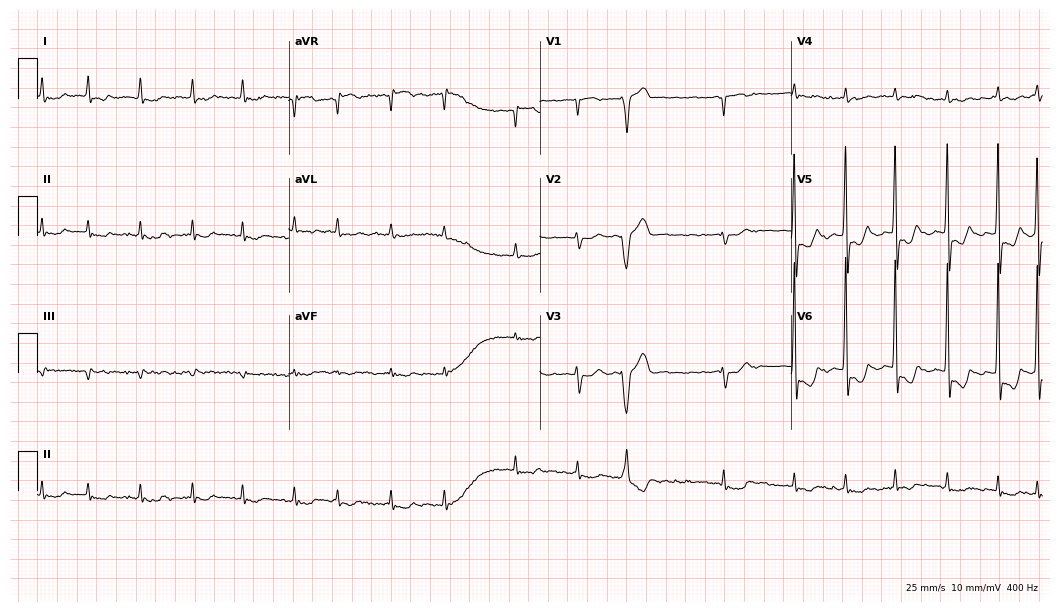
ECG (10.2-second recording at 400 Hz) — an 82-year-old man. Findings include atrial fibrillation.